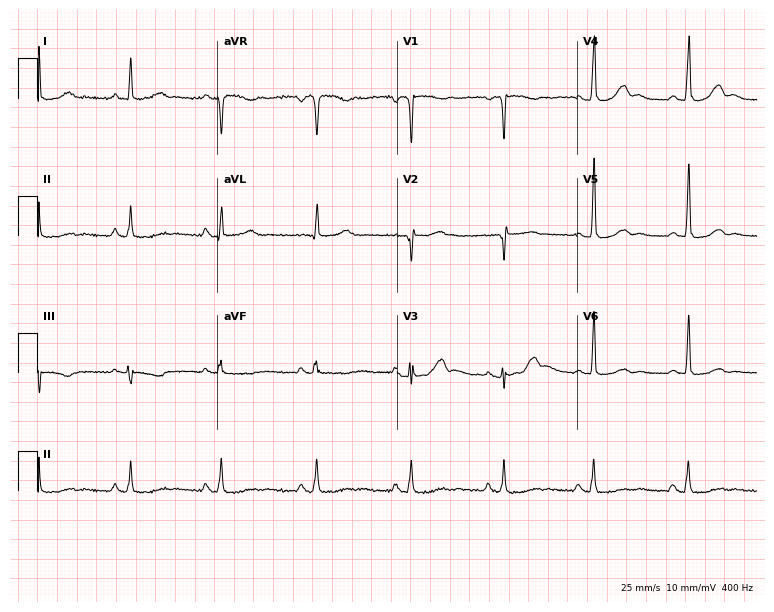
12-lead ECG from a 52-year-old female patient. Screened for six findings — first-degree AV block, right bundle branch block, left bundle branch block, sinus bradycardia, atrial fibrillation, sinus tachycardia — none is recorded.